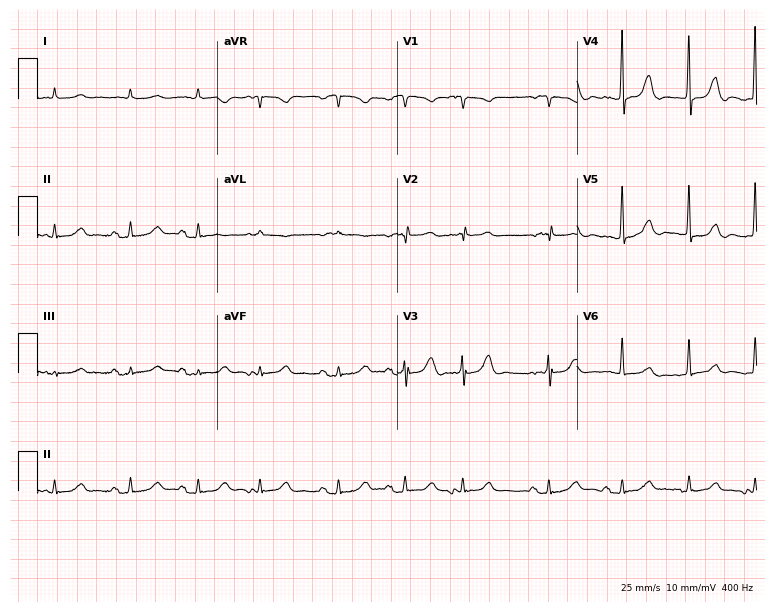
ECG (7.3-second recording at 400 Hz) — a male patient, 80 years old. Screened for six findings — first-degree AV block, right bundle branch block, left bundle branch block, sinus bradycardia, atrial fibrillation, sinus tachycardia — none is recorded.